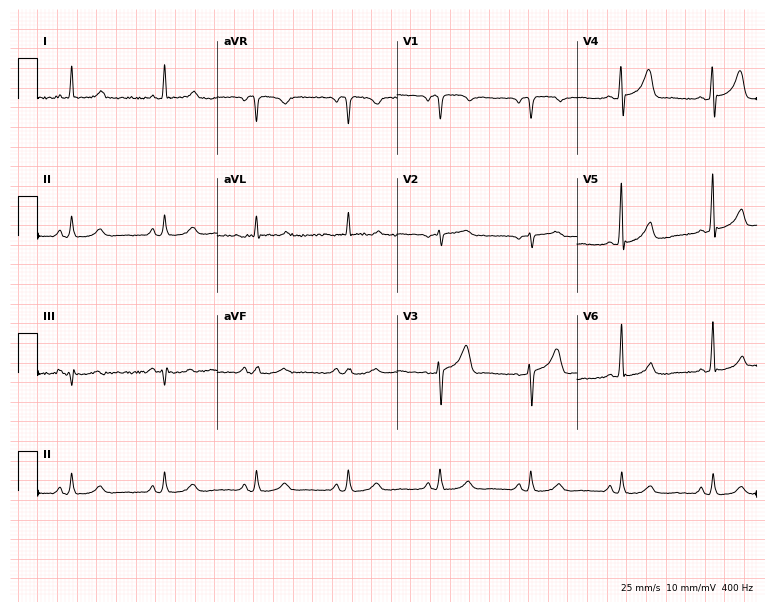
Resting 12-lead electrocardiogram (7.3-second recording at 400 Hz). Patient: a 58-year-old male. None of these six findings is recorded: first-degree AV block, right bundle branch block (RBBB), left bundle branch block (LBBB), sinus bradycardia, atrial fibrillation (AF), sinus tachycardia.